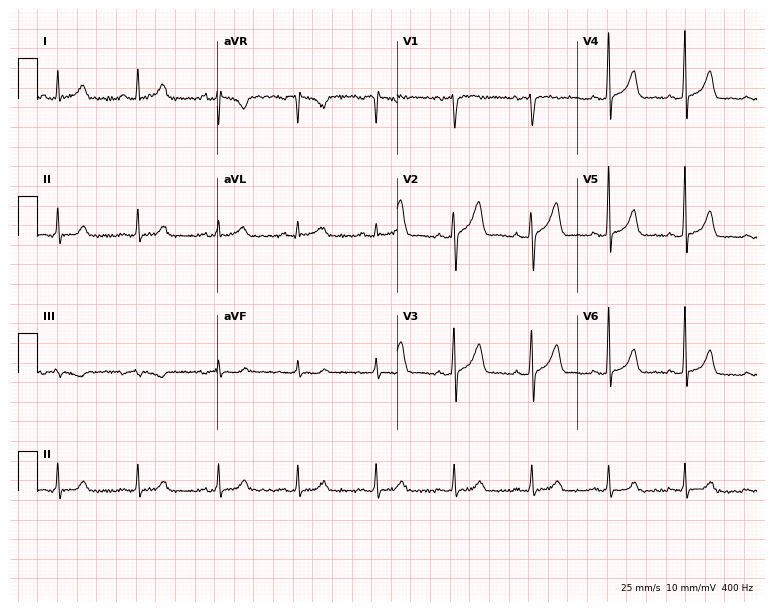
12-lead ECG from a man, 44 years old. Screened for six findings — first-degree AV block, right bundle branch block (RBBB), left bundle branch block (LBBB), sinus bradycardia, atrial fibrillation (AF), sinus tachycardia — none is recorded. Findings outside these six are not listed.